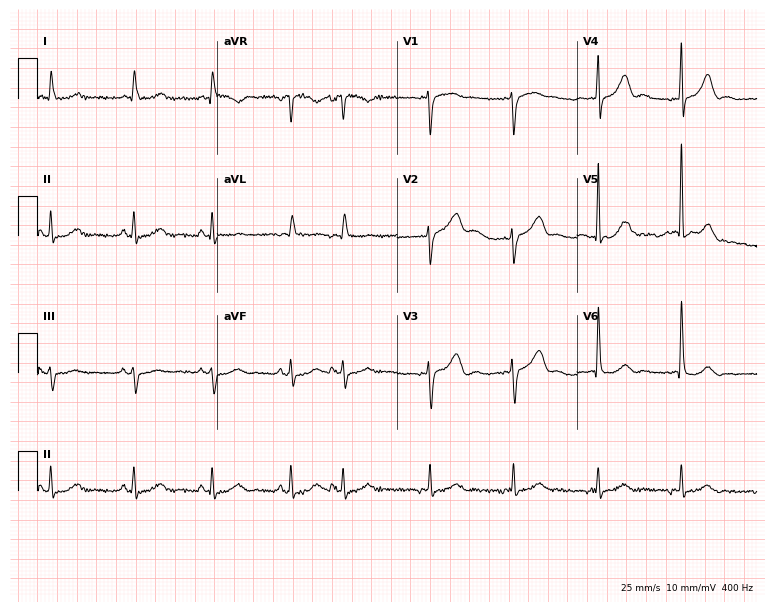
12-lead ECG from a woman, 82 years old (7.3-second recording at 400 Hz). Recorded interpretation: within normal limits.